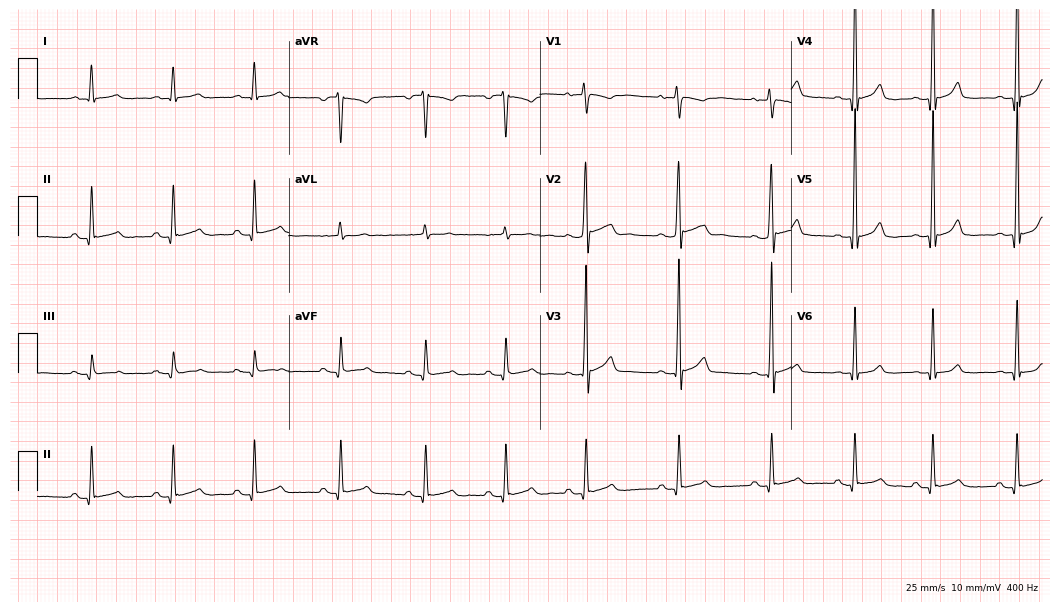
Standard 12-lead ECG recorded from a 21-year-old man. None of these six findings is recorded: first-degree AV block, right bundle branch block, left bundle branch block, sinus bradycardia, atrial fibrillation, sinus tachycardia.